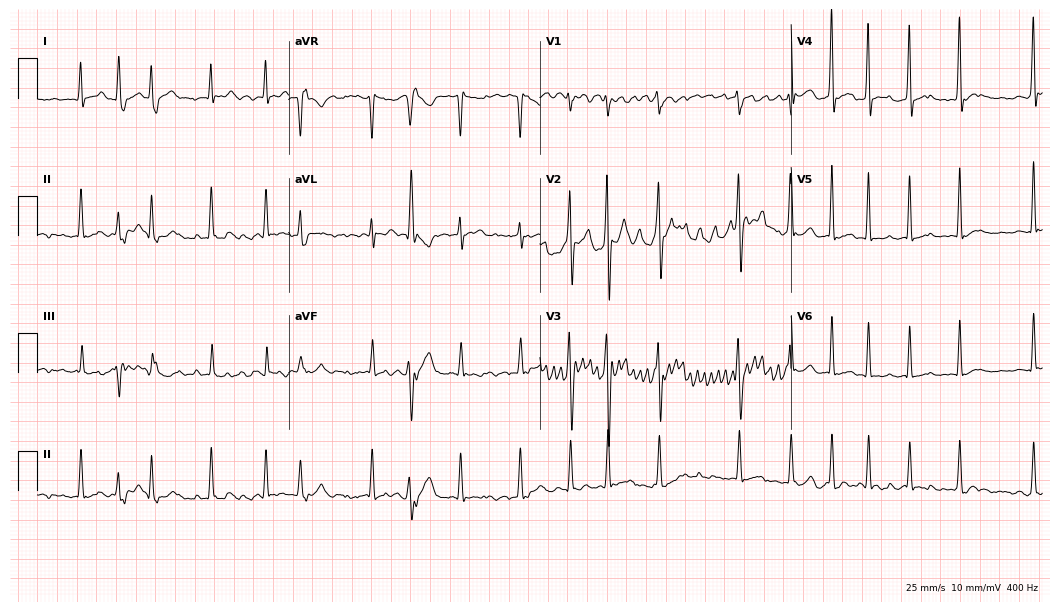
ECG — a 28-year-old man. Findings include atrial fibrillation (AF).